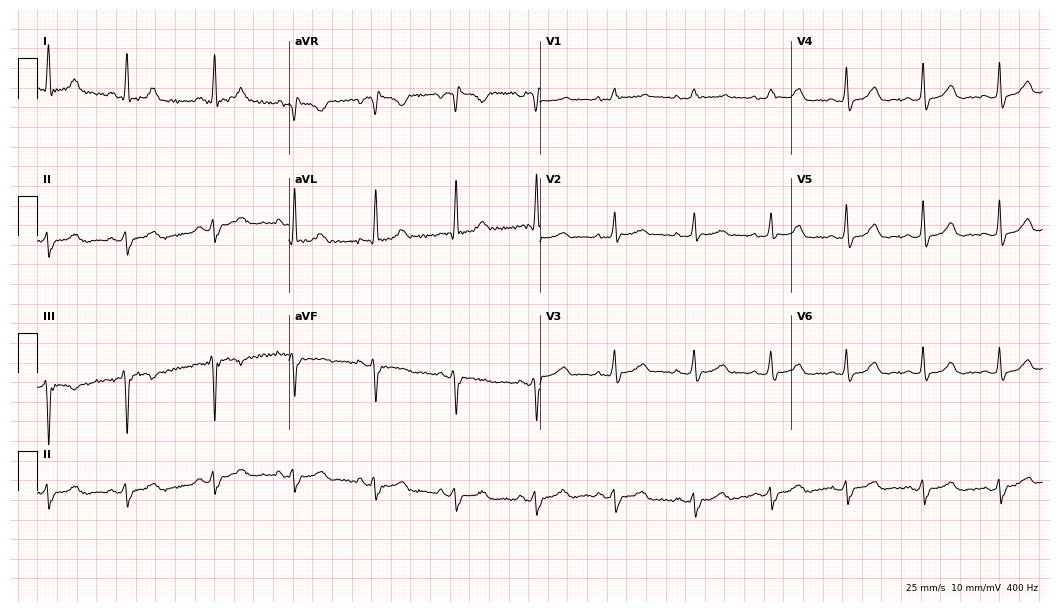
Electrocardiogram, a woman, 63 years old. Of the six screened findings (first-degree AV block, right bundle branch block, left bundle branch block, sinus bradycardia, atrial fibrillation, sinus tachycardia), none is recorded. Only these six findings were labelled.